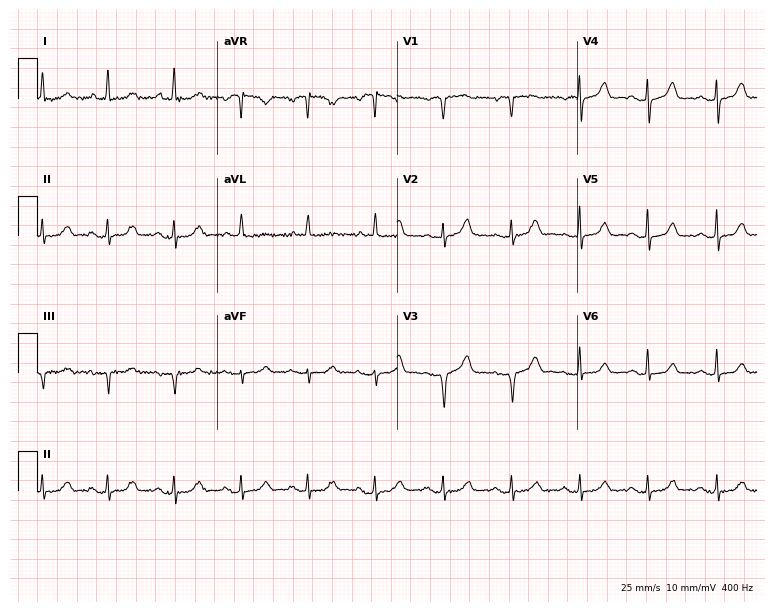
12-lead ECG (7.3-second recording at 400 Hz) from a female patient, 81 years old. Labelled as a normal ECG.